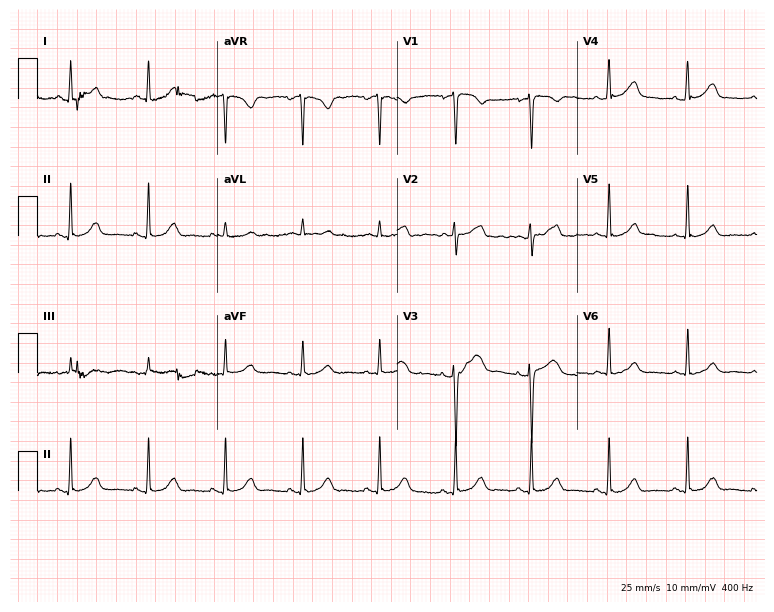
12-lead ECG from a female, 68 years old. Recorded interpretation: within normal limits.